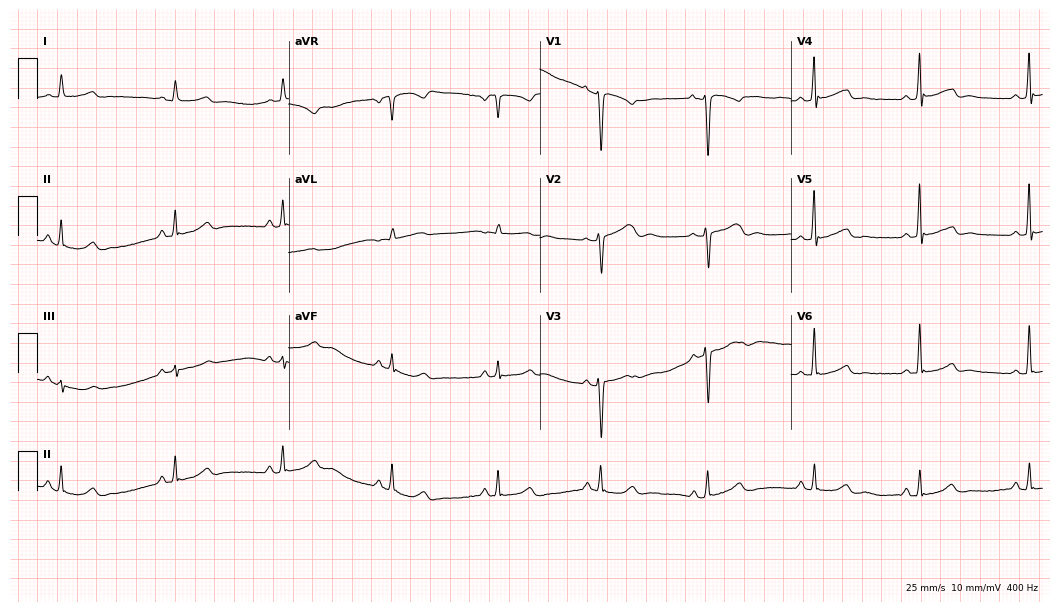
Resting 12-lead electrocardiogram. Patient: a 46-year-old female. Read as a normal ECG.